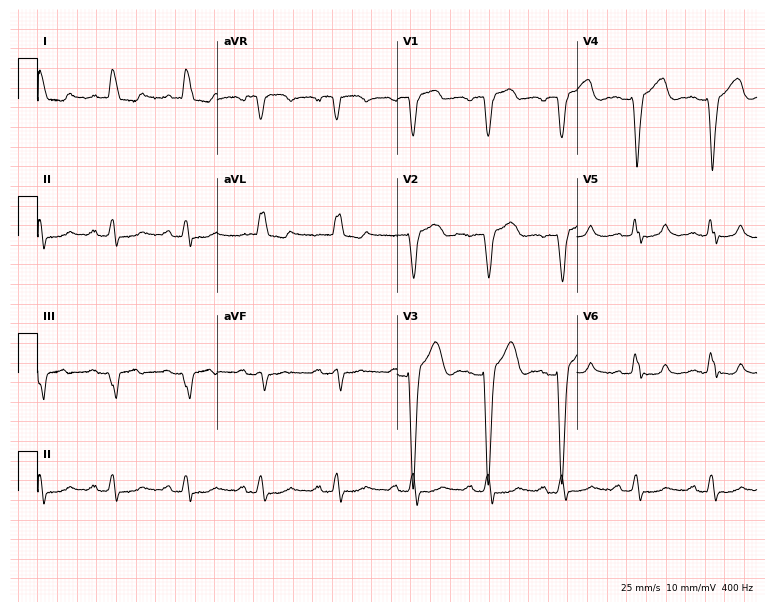
Resting 12-lead electrocardiogram. Patient: a man, 62 years old. The tracing shows left bundle branch block.